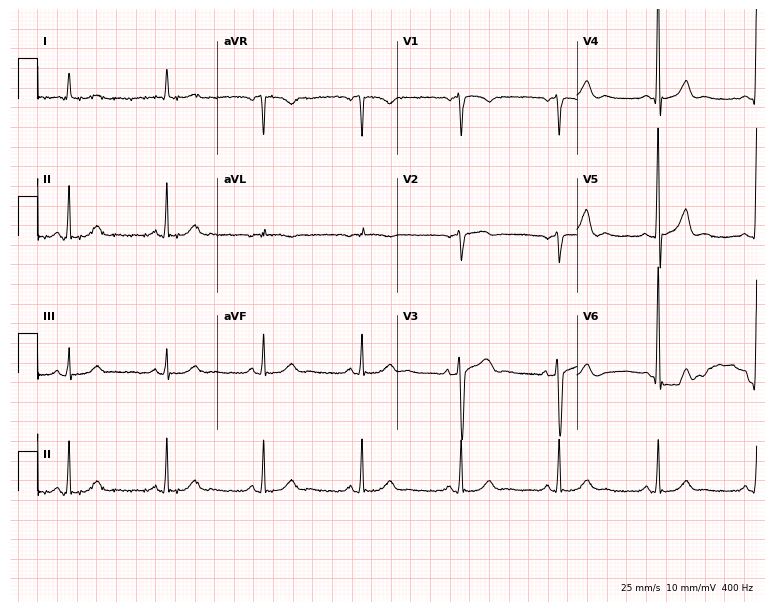
Standard 12-lead ECG recorded from an 80-year-old male patient. Read as a normal ECG.